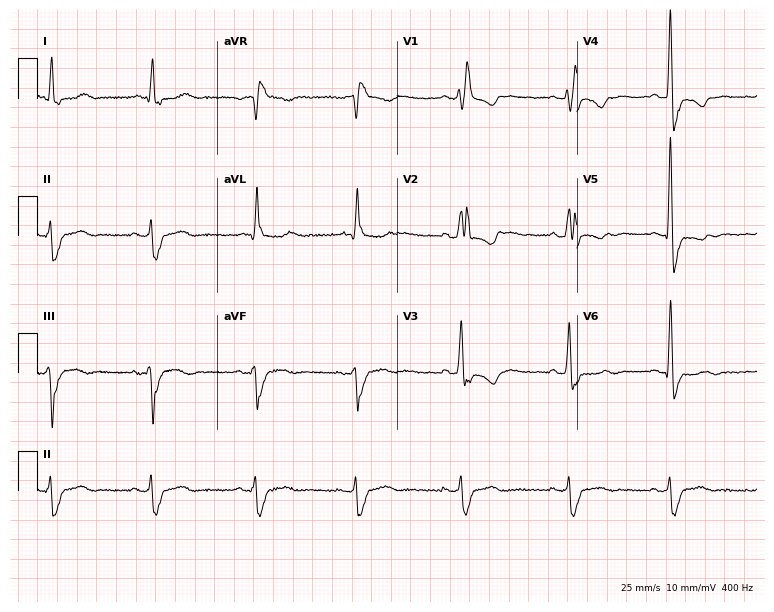
12-lead ECG from a 74-year-old male (7.3-second recording at 400 Hz). Shows right bundle branch block.